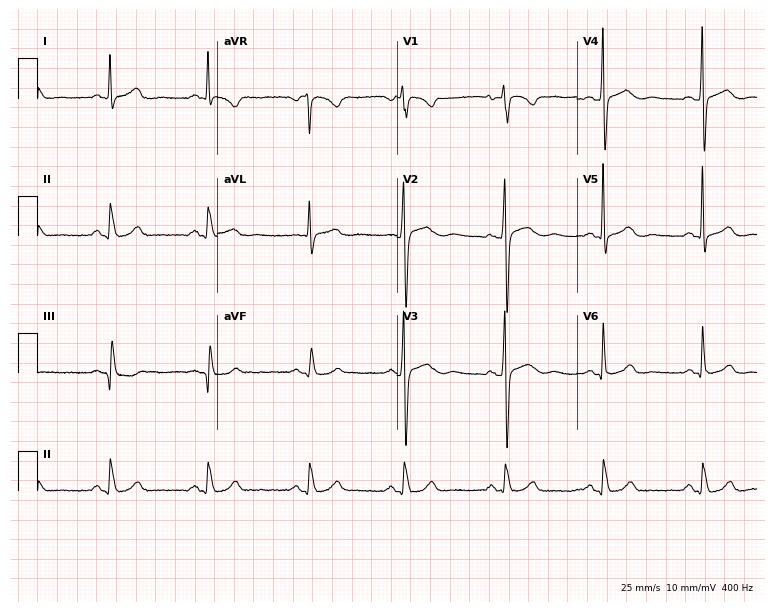
Electrocardiogram, a female, 56 years old. Overall reading on record: normal ECG.